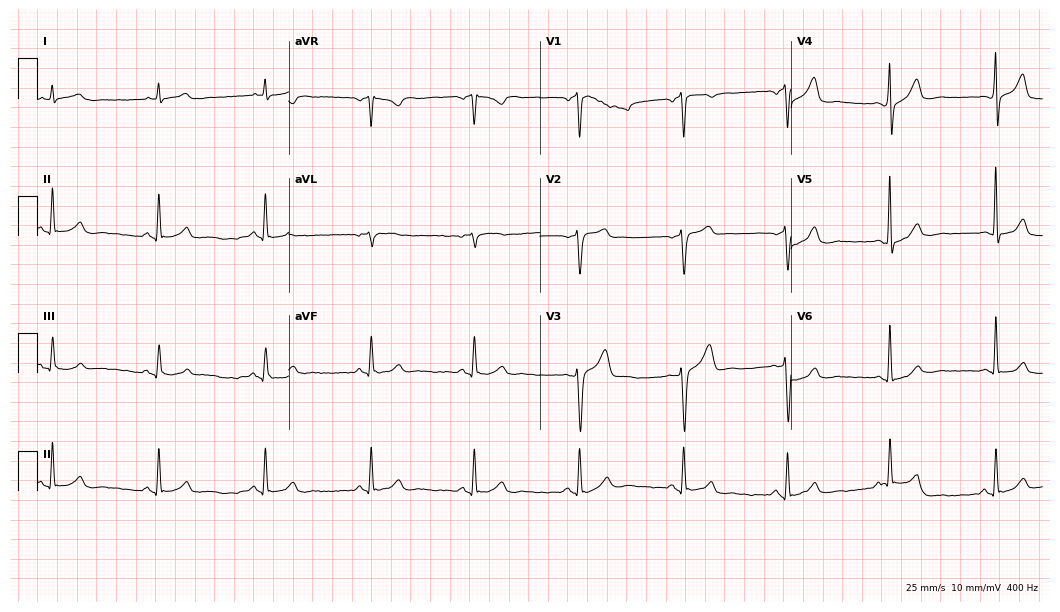
Resting 12-lead electrocardiogram. Patient: a male, 35 years old. None of these six findings is recorded: first-degree AV block, right bundle branch block, left bundle branch block, sinus bradycardia, atrial fibrillation, sinus tachycardia.